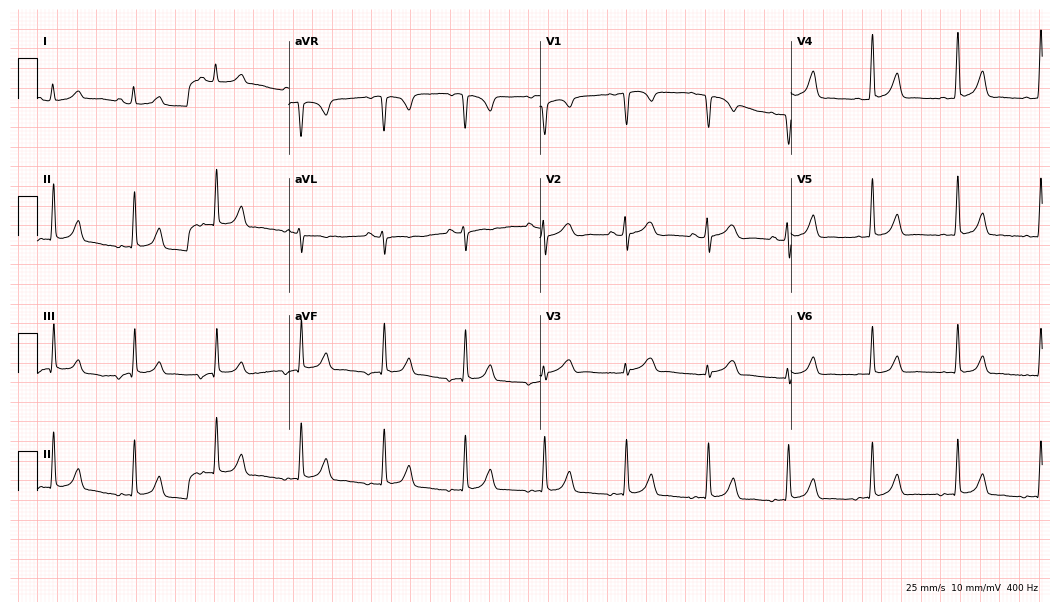
Electrocardiogram (10.2-second recording at 400 Hz), a female, 35 years old. Overall reading on record: normal ECG.